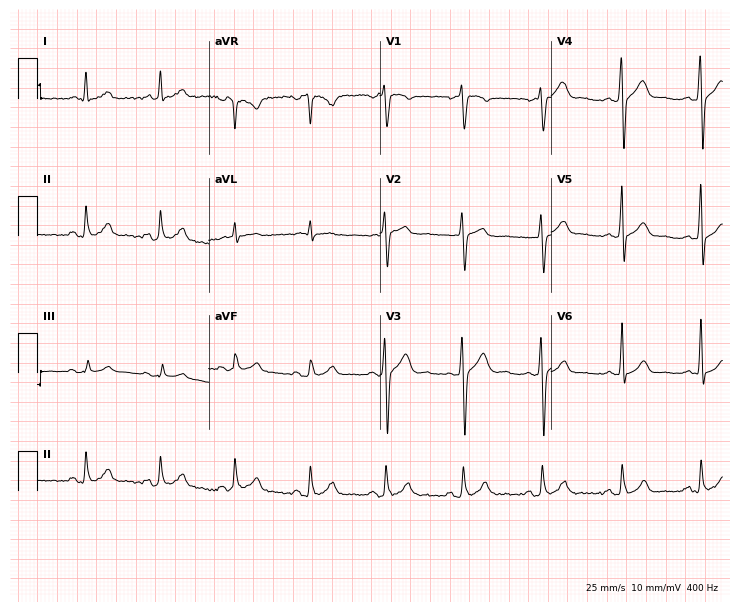
Resting 12-lead electrocardiogram (7-second recording at 400 Hz). Patient: a man, 40 years old. Read as a normal ECG.